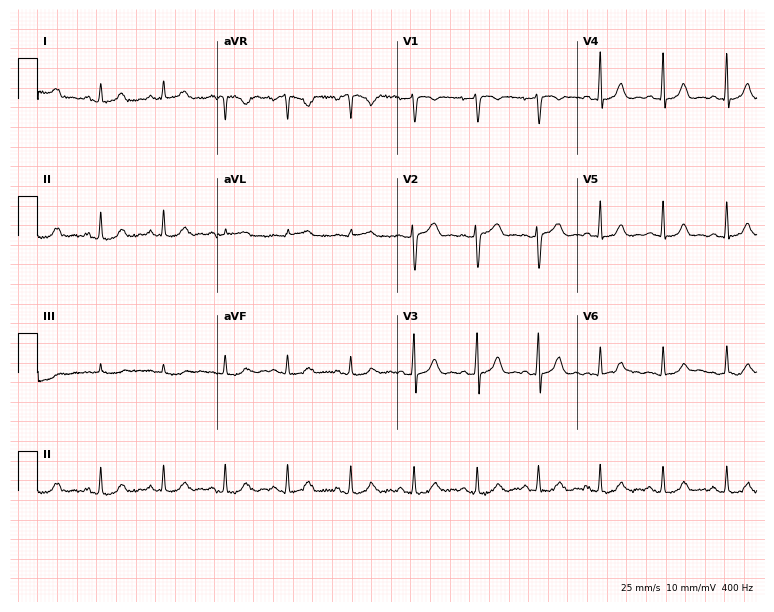
Standard 12-lead ECG recorded from a female patient, 31 years old (7.3-second recording at 400 Hz). None of these six findings is recorded: first-degree AV block, right bundle branch block, left bundle branch block, sinus bradycardia, atrial fibrillation, sinus tachycardia.